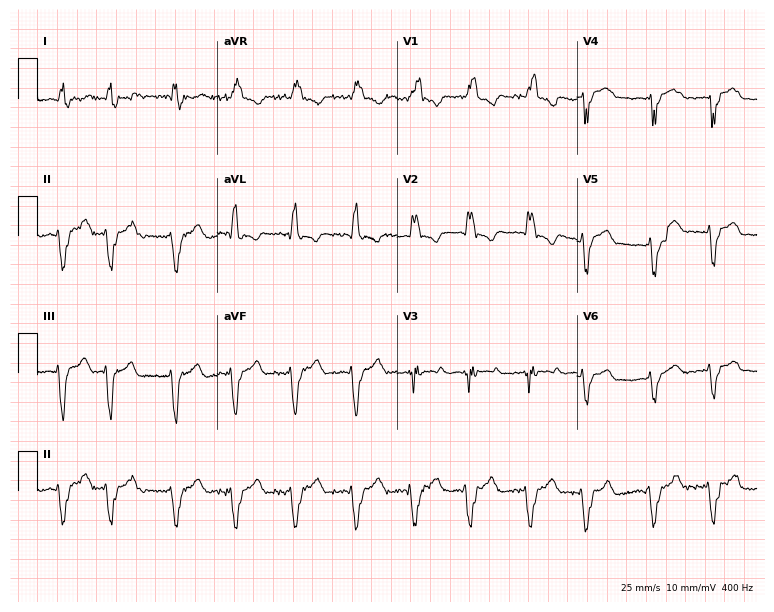
Resting 12-lead electrocardiogram (7.3-second recording at 400 Hz). Patient: an 84-year-old female. The tracing shows right bundle branch block, atrial fibrillation.